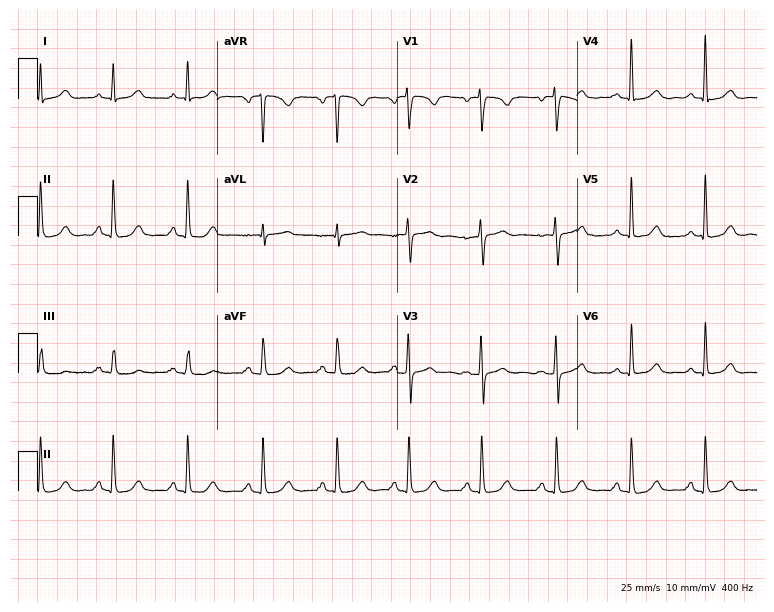
Standard 12-lead ECG recorded from a 46-year-old woman (7.3-second recording at 400 Hz). Read as a normal ECG.